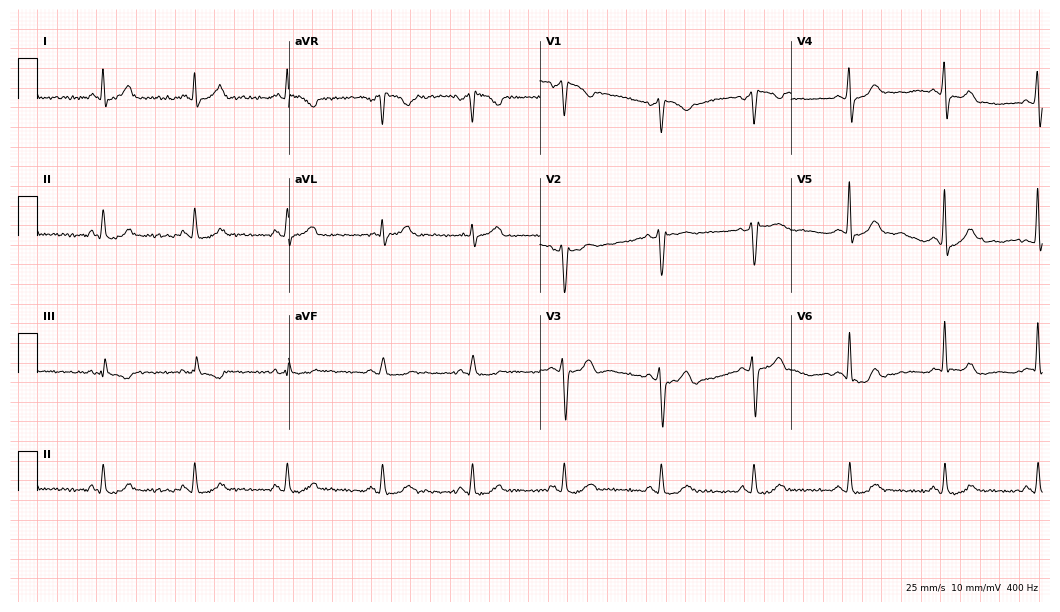
Resting 12-lead electrocardiogram (10.2-second recording at 400 Hz). Patient: a 47-year-old man. None of these six findings is recorded: first-degree AV block, right bundle branch block, left bundle branch block, sinus bradycardia, atrial fibrillation, sinus tachycardia. Only these six findings were labelled.